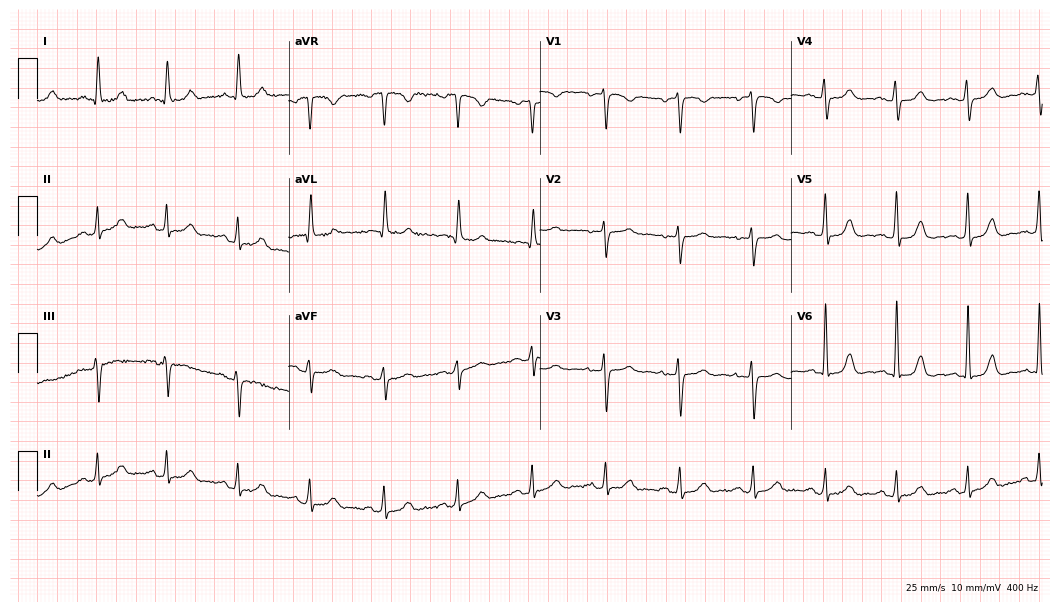
Standard 12-lead ECG recorded from an 85-year-old female. Read as a normal ECG.